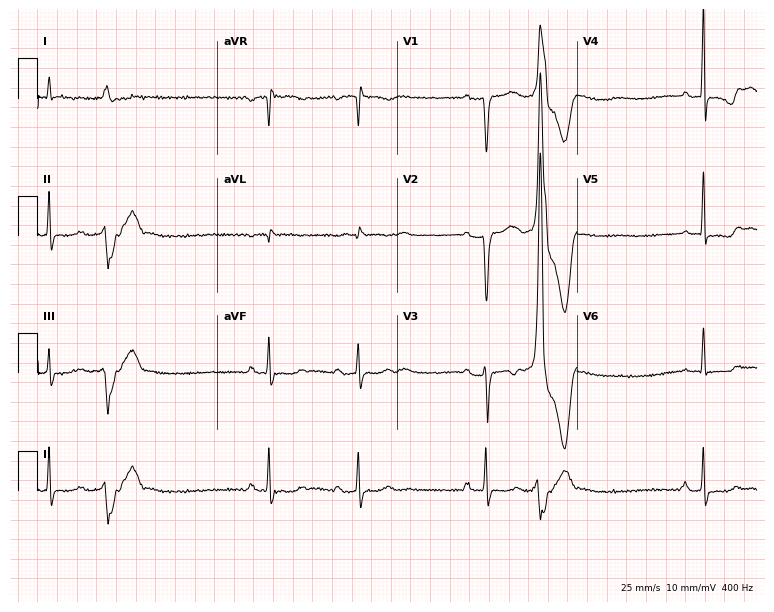
Electrocardiogram (7.3-second recording at 400 Hz), a male, 75 years old. Of the six screened findings (first-degree AV block, right bundle branch block (RBBB), left bundle branch block (LBBB), sinus bradycardia, atrial fibrillation (AF), sinus tachycardia), none is recorded. Only these six findings were labelled.